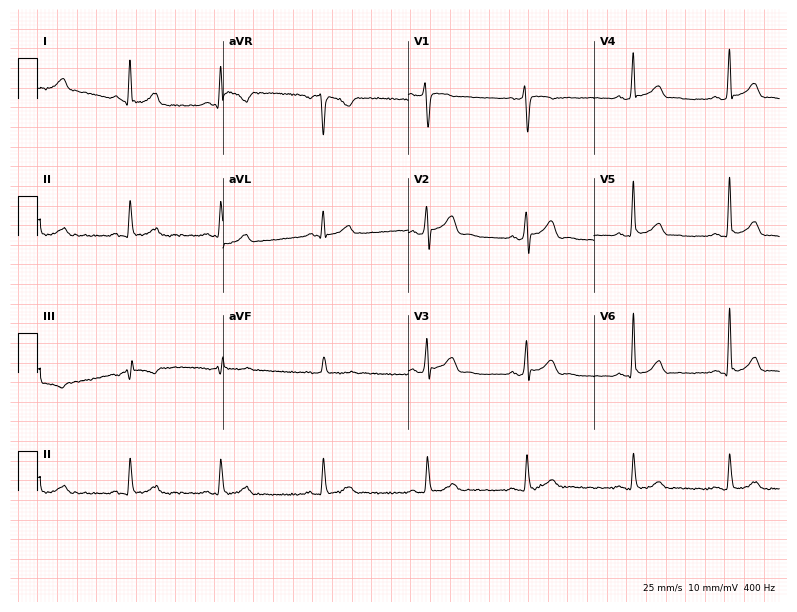
Resting 12-lead electrocardiogram (7.6-second recording at 400 Hz). Patient: a 31-year-old male. None of these six findings is recorded: first-degree AV block, right bundle branch block (RBBB), left bundle branch block (LBBB), sinus bradycardia, atrial fibrillation (AF), sinus tachycardia.